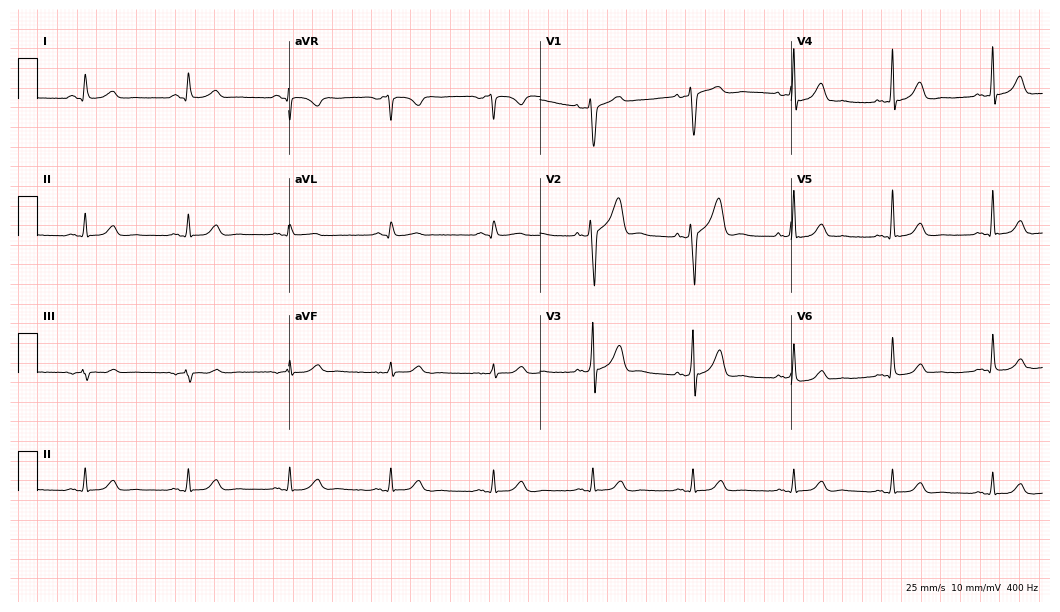
12-lead ECG (10.2-second recording at 400 Hz) from a male, 66 years old. Labelled as a normal ECG.